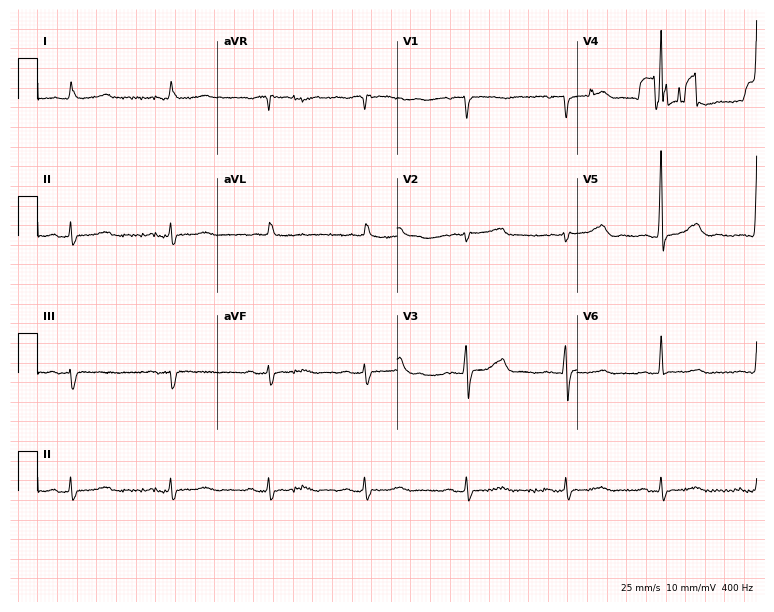
12-lead ECG from a 68-year-old female. Labelled as a normal ECG.